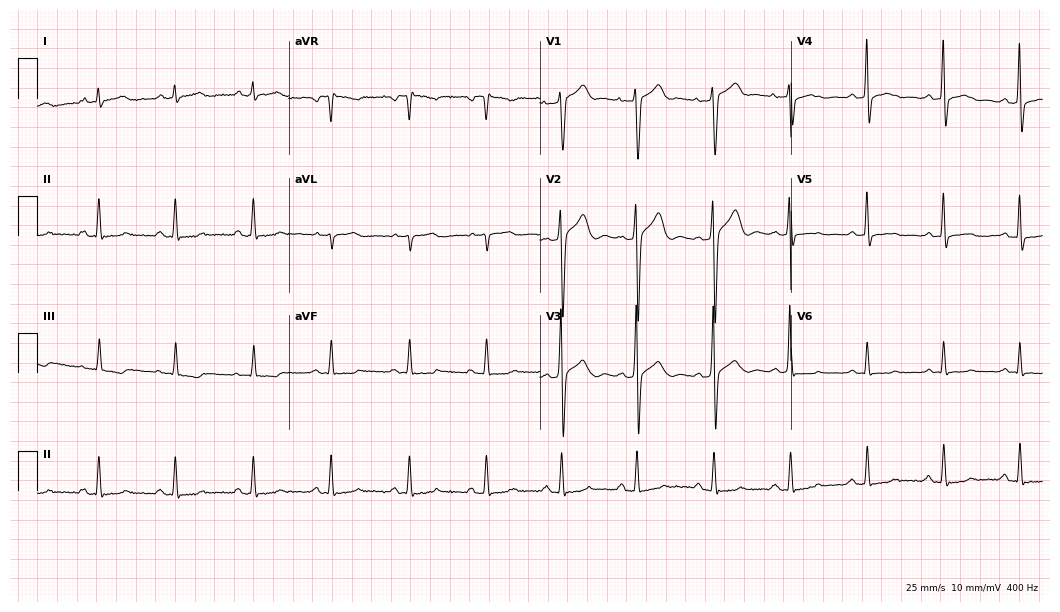
ECG — a man, 54 years old. Labelled as a normal ECG.